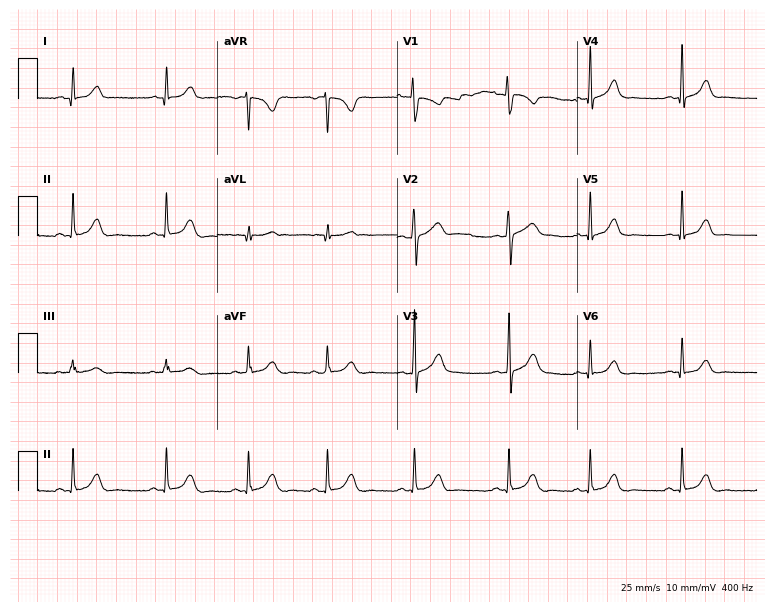
12-lead ECG (7.3-second recording at 400 Hz) from a female, 21 years old. Labelled as a normal ECG.